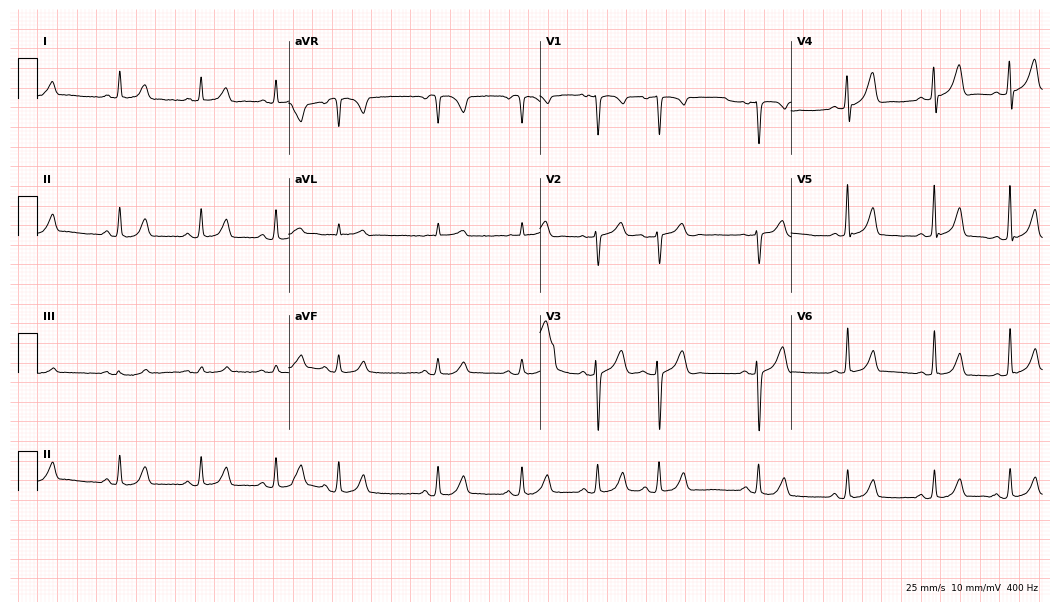
ECG (10.2-second recording at 400 Hz) — a 60-year-old male patient. Labelled as a normal ECG.